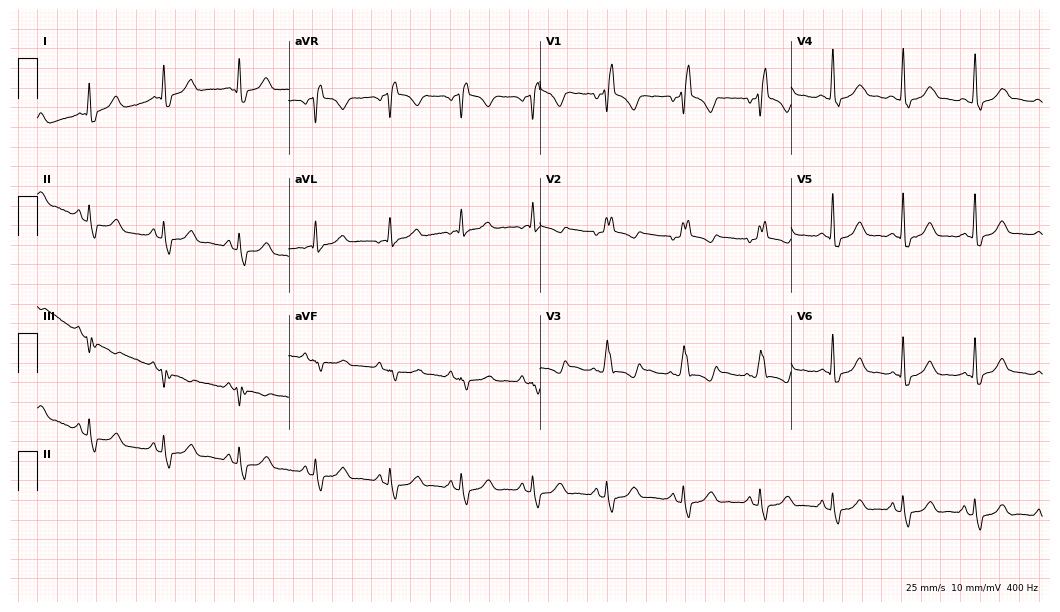
12-lead ECG from a 41-year-old female patient. Shows right bundle branch block (RBBB).